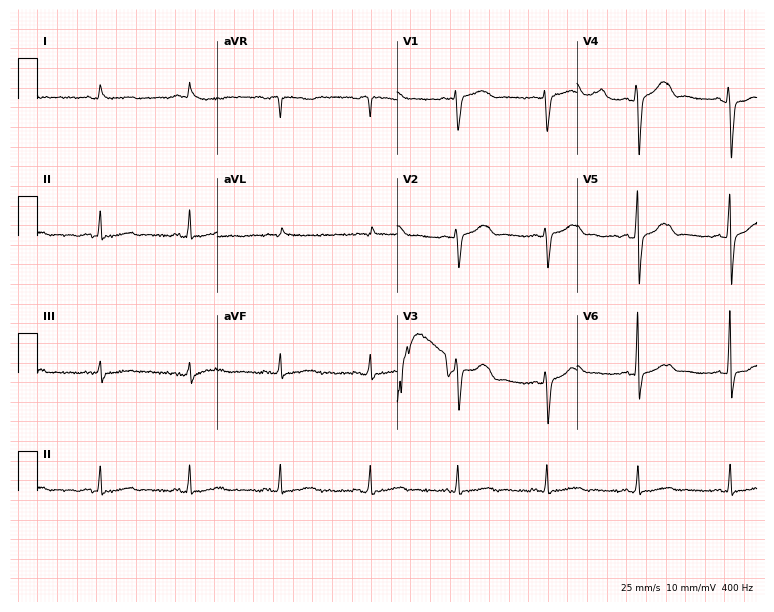
Resting 12-lead electrocardiogram. Patient: a 59-year-old female. Read as a normal ECG.